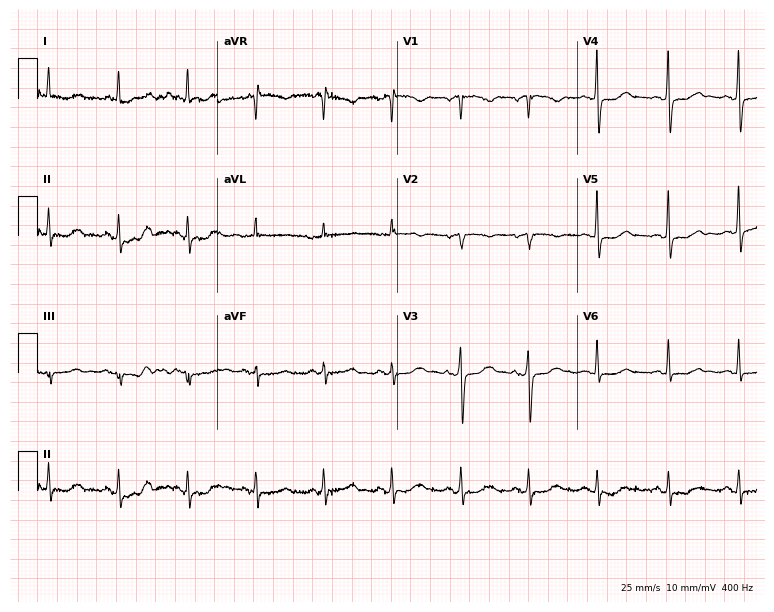
ECG (7.3-second recording at 400 Hz) — an 84-year-old female. Labelled as a normal ECG.